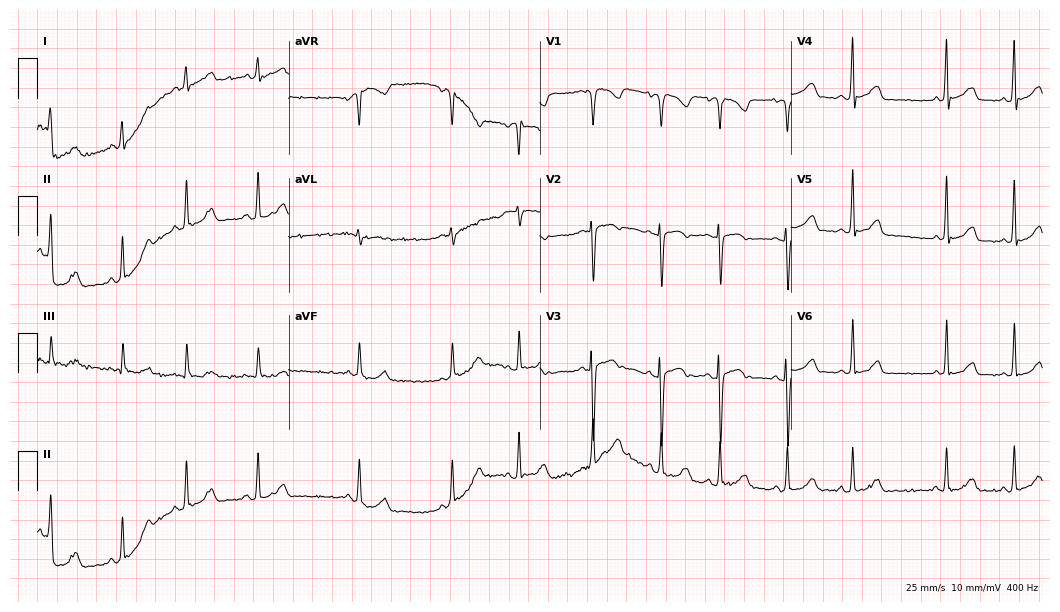
12-lead ECG from an 80-year-old female patient (10.2-second recording at 400 Hz). No first-degree AV block, right bundle branch block, left bundle branch block, sinus bradycardia, atrial fibrillation or sinus tachycardia recorded for this tracing.